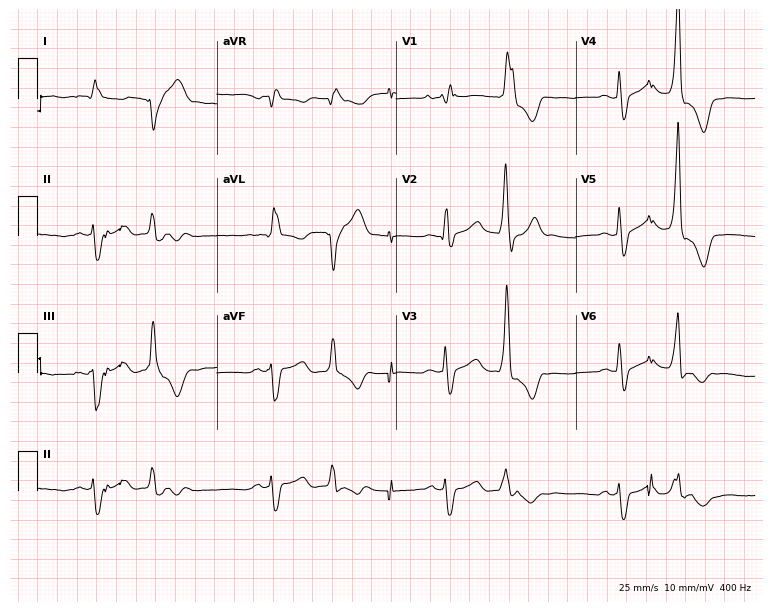
Standard 12-lead ECG recorded from a 22-year-old woman. None of these six findings is recorded: first-degree AV block, right bundle branch block (RBBB), left bundle branch block (LBBB), sinus bradycardia, atrial fibrillation (AF), sinus tachycardia. Only these six findings were labelled.